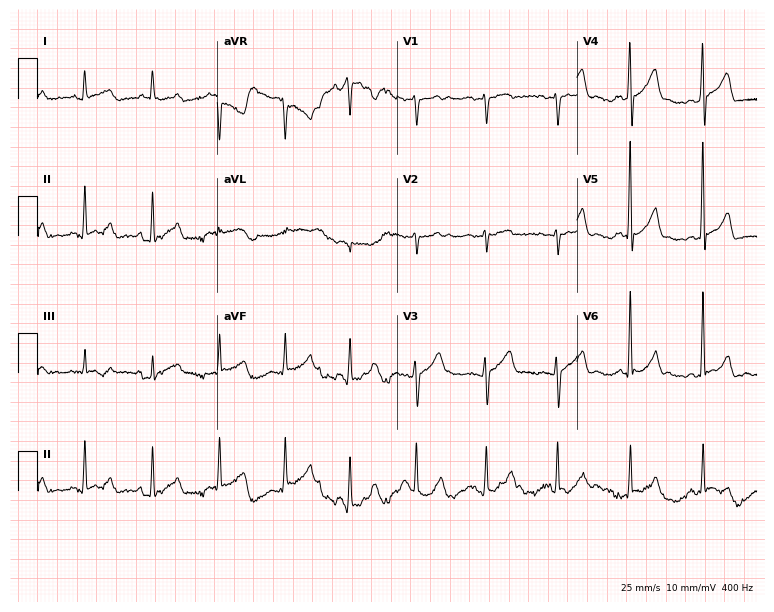
ECG (7.3-second recording at 400 Hz) — a man, 45 years old. Labelled as a normal ECG.